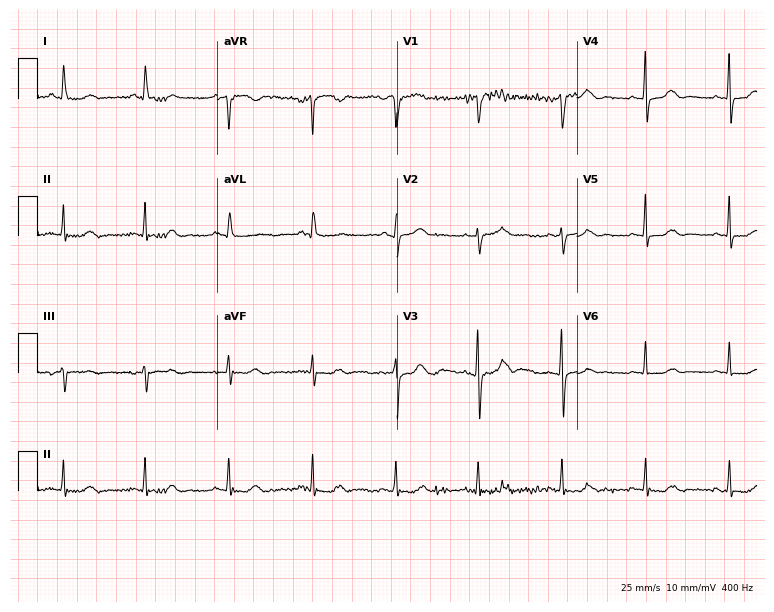
12-lead ECG from a 69-year-old female. Labelled as a normal ECG.